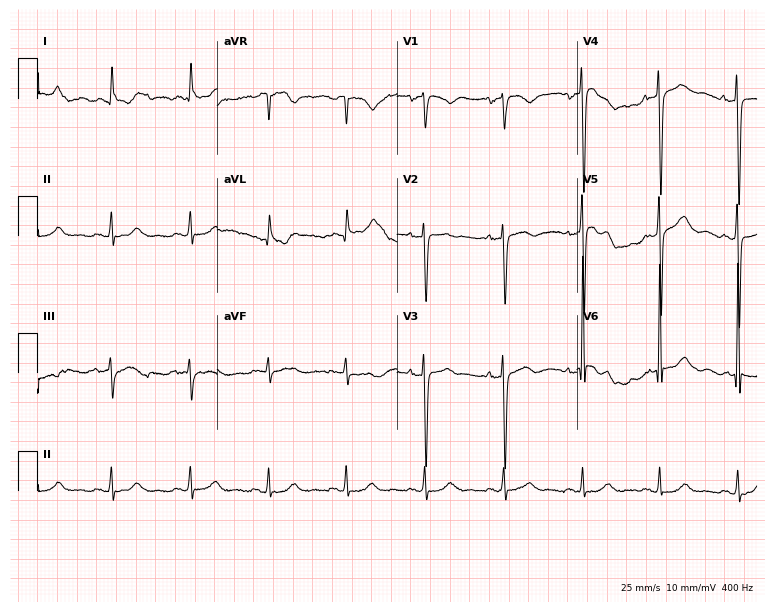
12-lead ECG from an 84-year-old woman. Labelled as a normal ECG.